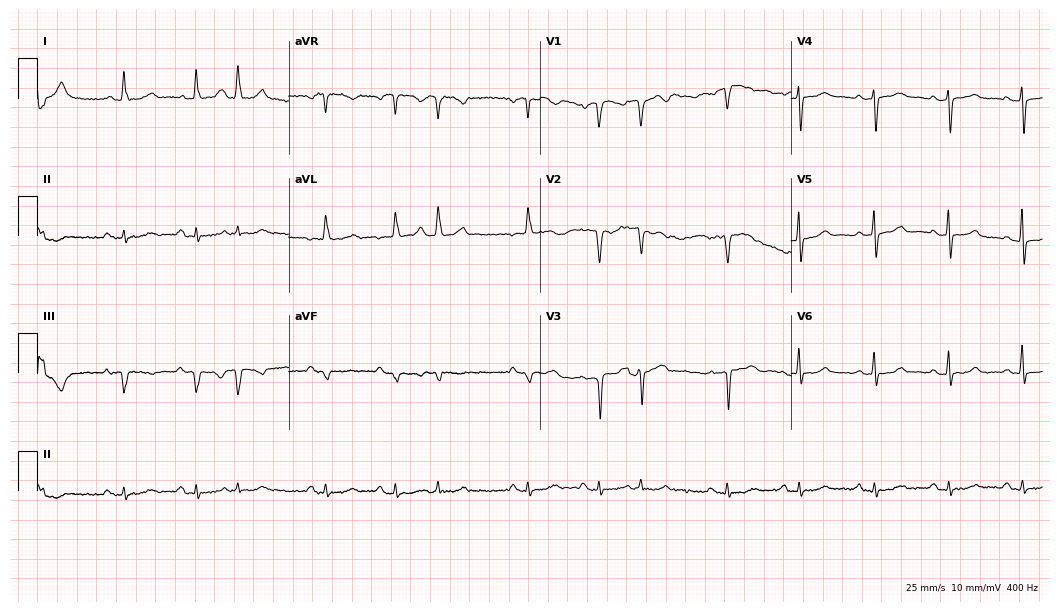
Resting 12-lead electrocardiogram. Patient: a female, 84 years old. None of these six findings is recorded: first-degree AV block, right bundle branch block, left bundle branch block, sinus bradycardia, atrial fibrillation, sinus tachycardia. Other findings, if any, are not listed.